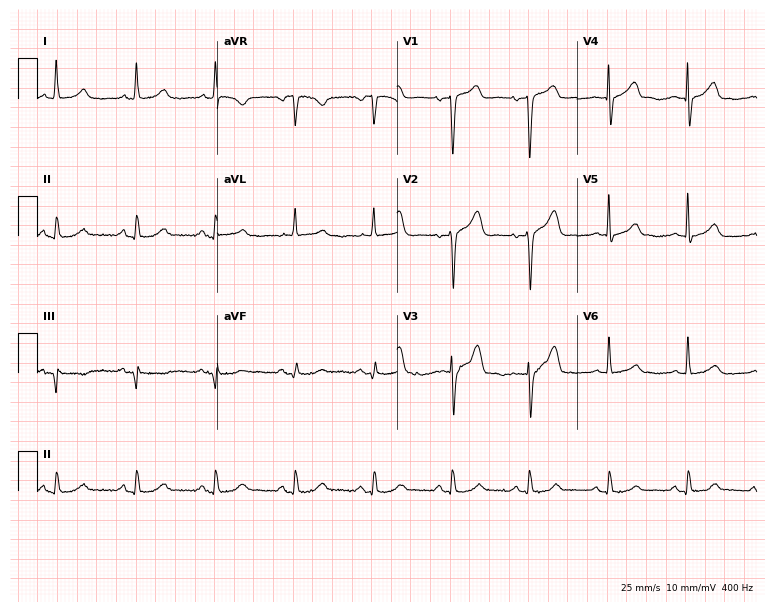
Electrocardiogram, an 87-year-old woman. Overall reading on record: normal ECG.